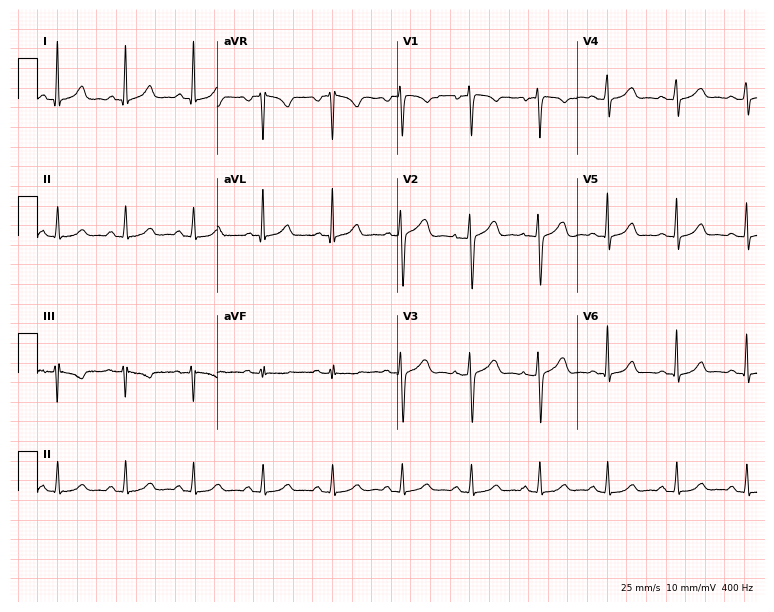
Resting 12-lead electrocardiogram (7.3-second recording at 400 Hz). Patient: a female, 44 years old. Read as a normal ECG.